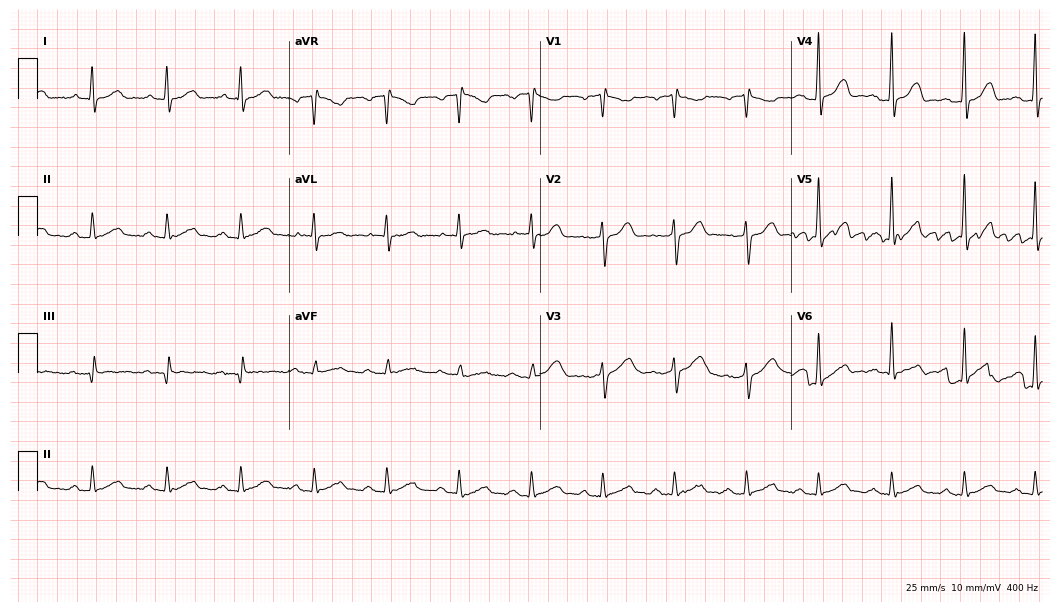
12-lead ECG from a man, 40 years old. Labelled as a normal ECG.